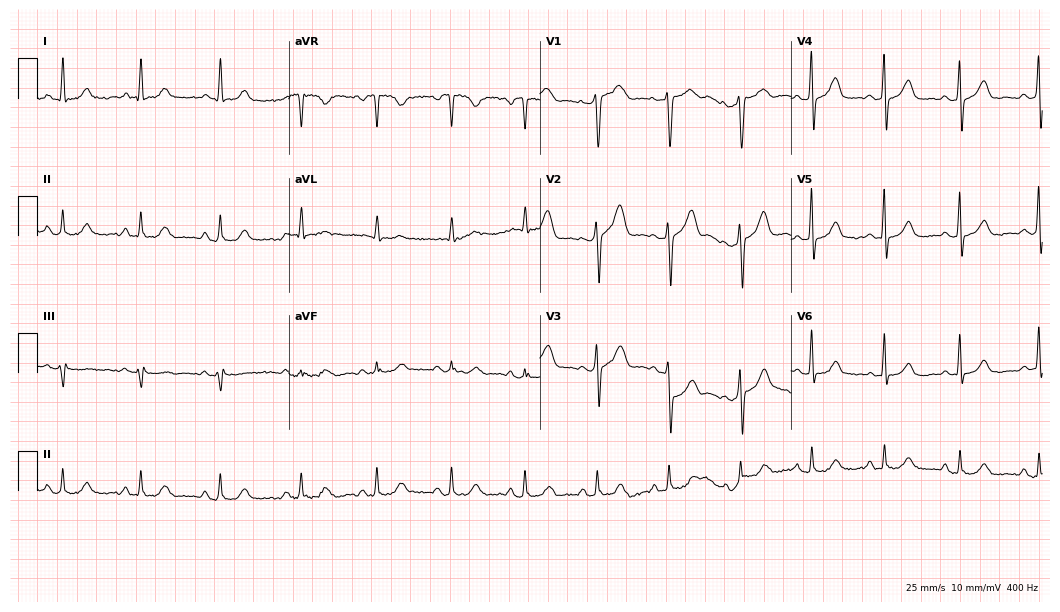
Resting 12-lead electrocardiogram (10.2-second recording at 400 Hz). Patient: a male, 50 years old. Read as a normal ECG.